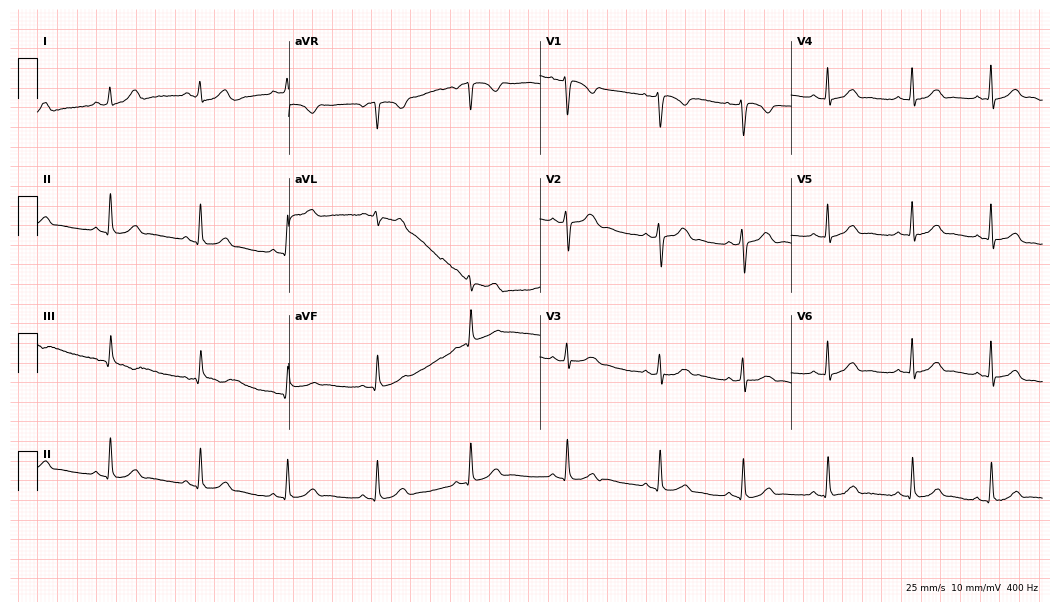
12-lead ECG (10.2-second recording at 400 Hz) from a 29-year-old woman. Labelled as a normal ECG.